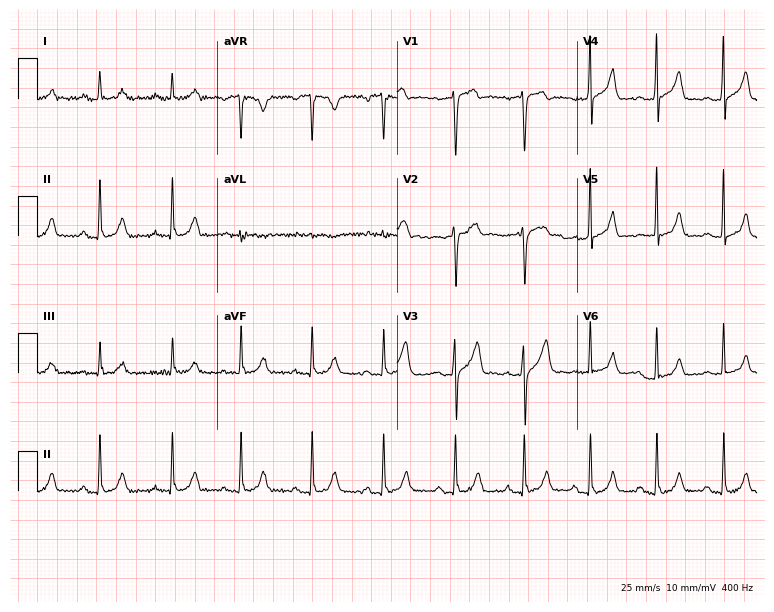
Electrocardiogram, a 40-year-old female. Overall reading on record: normal ECG.